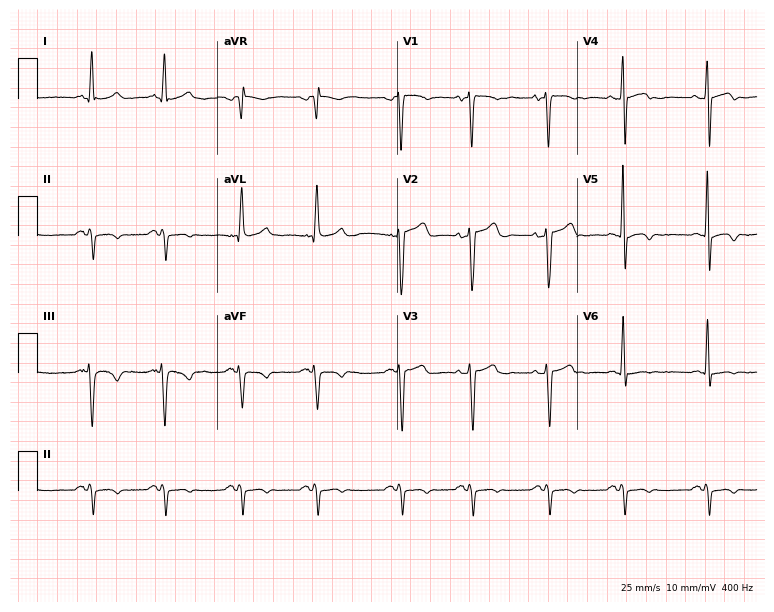
12-lead ECG (7.3-second recording at 400 Hz) from a man, 75 years old. Screened for six findings — first-degree AV block, right bundle branch block, left bundle branch block, sinus bradycardia, atrial fibrillation, sinus tachycardia — none is recorded. Findings outside these six are not listed.